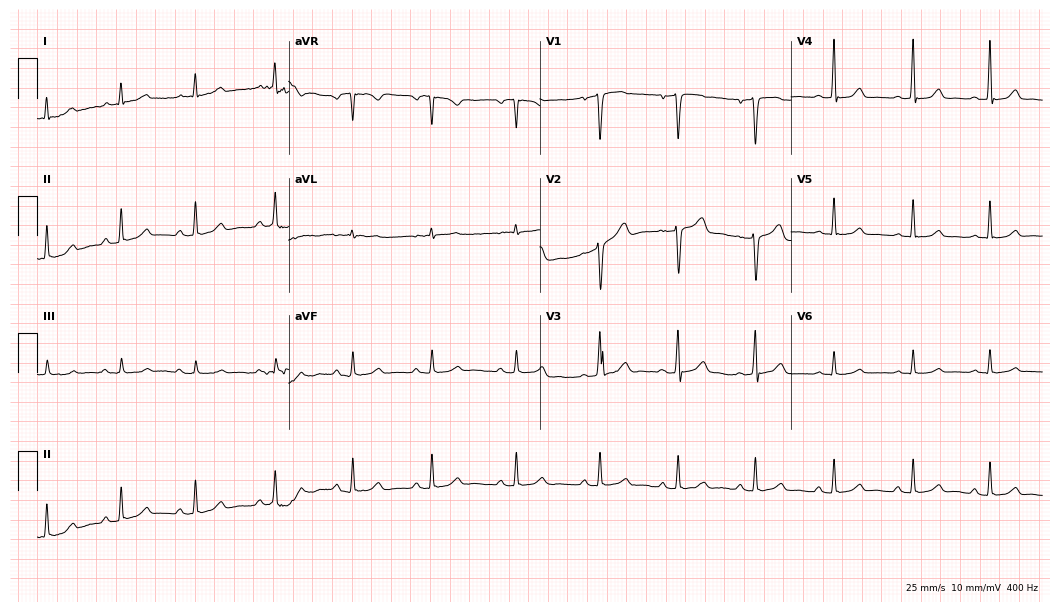
Resting 12-lead electrocardiogram (10.2-second recording at 400 Hz). Patient: a 33-year-old male. None of these six findings is recorded: first-degree AV block, right bundle branch block (RBBB), left bundle branch block (LBBB), sinus bradycardia, atrial fibrillation (AF), sinus tachycardia. Findings outside these six are not listed.